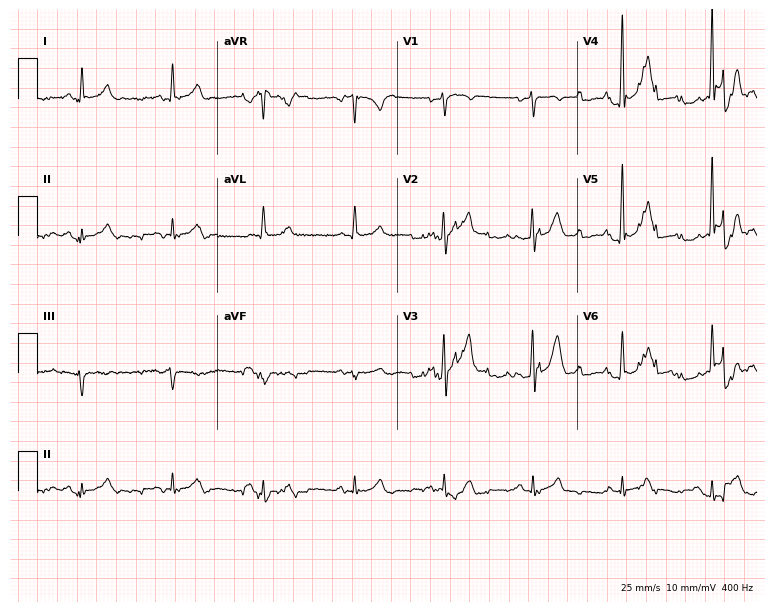
ECG — a man, 67 years old. Screened for six findings — first-degree AV block, right bundle branch block, left bundle branch block, sinus bradycardia, atrial fibrillation, sinus tachycardia — none is recorded.